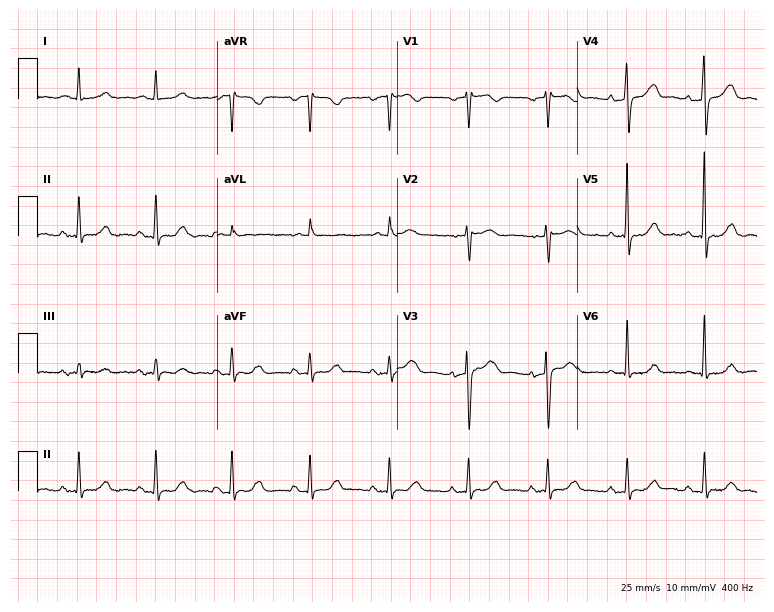
Resting 12-lead electrocardiogram. Patient: a 67-year-old female. Read as a normal ECG.